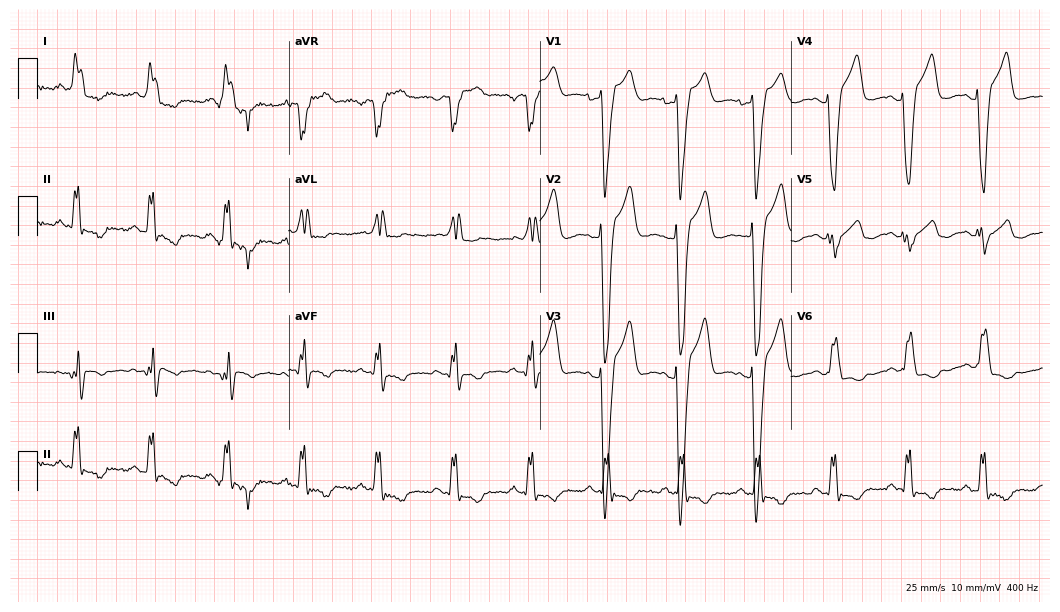
Electrocardiogram, a 72-year-old woman. Interpretation includes left bundle branch block (LBBB).